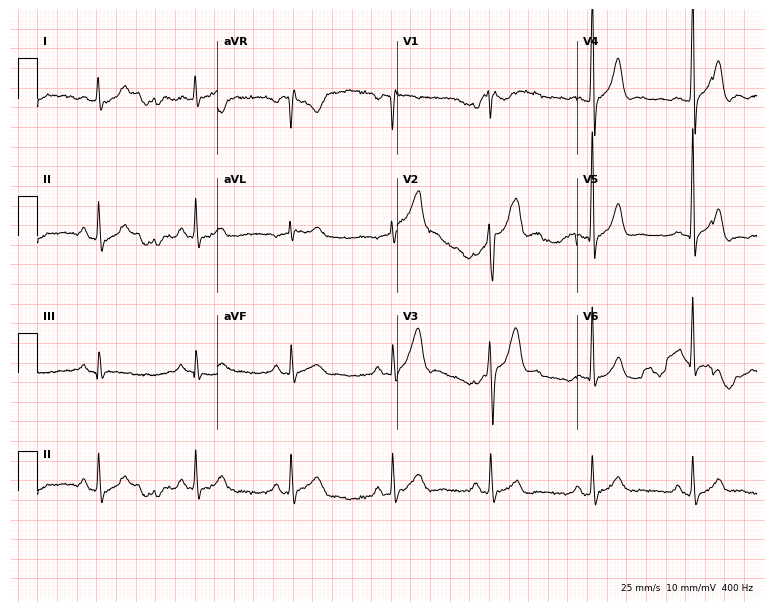
ECG (7.3-second recording at 400 Hz) — a man, 43 years old. Screened for six findings — first-degree AV block, right bundle branch block (RBBB), left bundle branch block (LBBB), sinus bradycardia, atrial fibrillation (AF), sinus tachycardia — none is recorded.